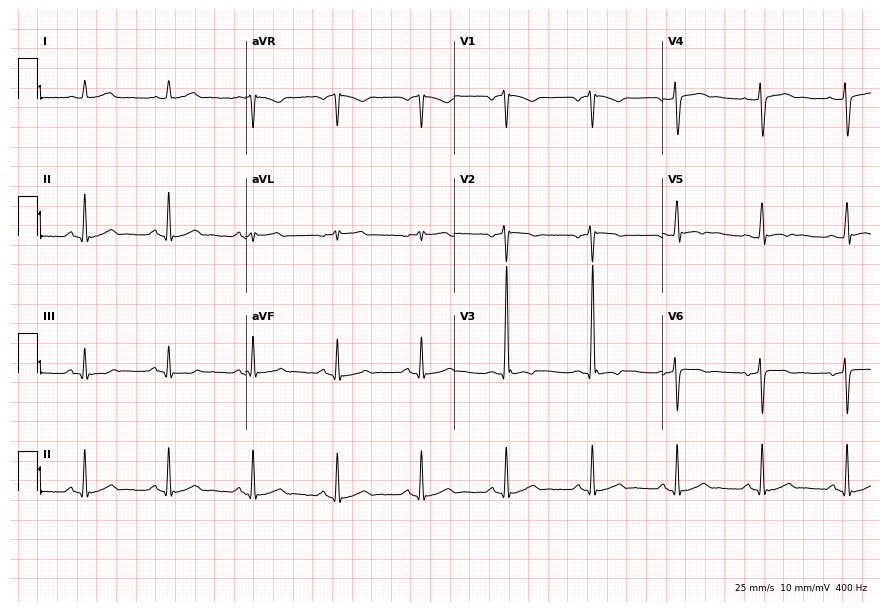
ECG — a male patient, 45 years old. Screened for six findings — first-degree AV block, right bundle branch block, left bundle branch block, sinus bradycardia, atrial fibrillation, sinus tachycardia — none is recorded. Only these six findings were labelled.